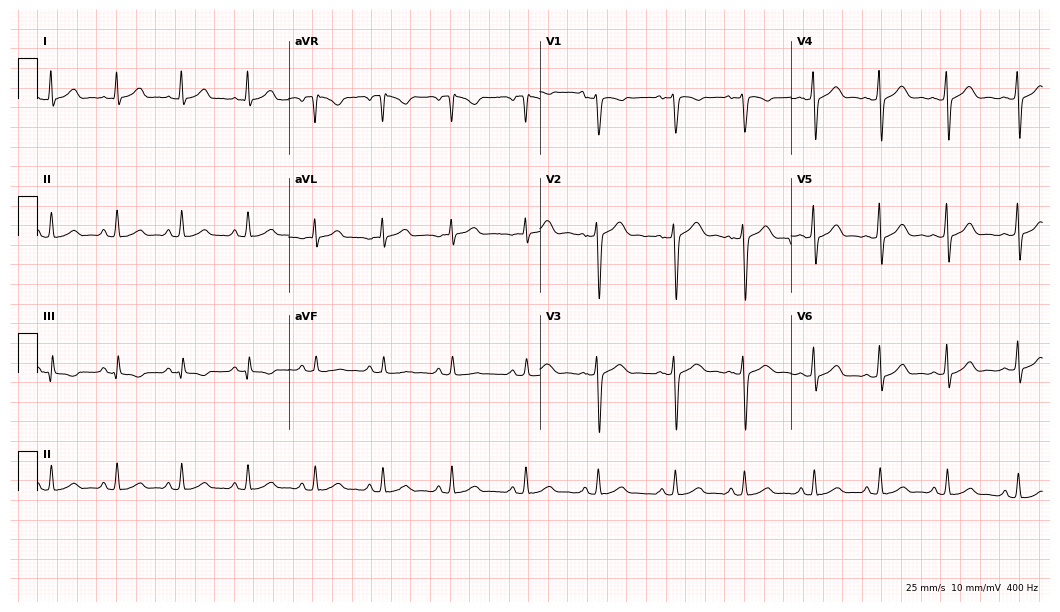
Resting 12-lead electrocardiogram (10.2-second recording at 400 Hz). Patient: a woman, 35 years old. Read as a normal ECG.